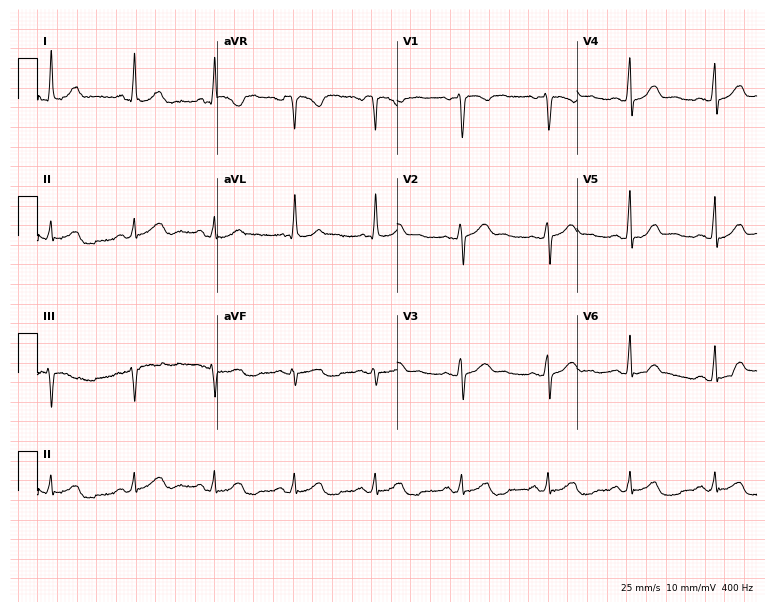
Resting 12-lead electrocardiogram. Patient: a woman, 58 years old. Read as a normal ECG.